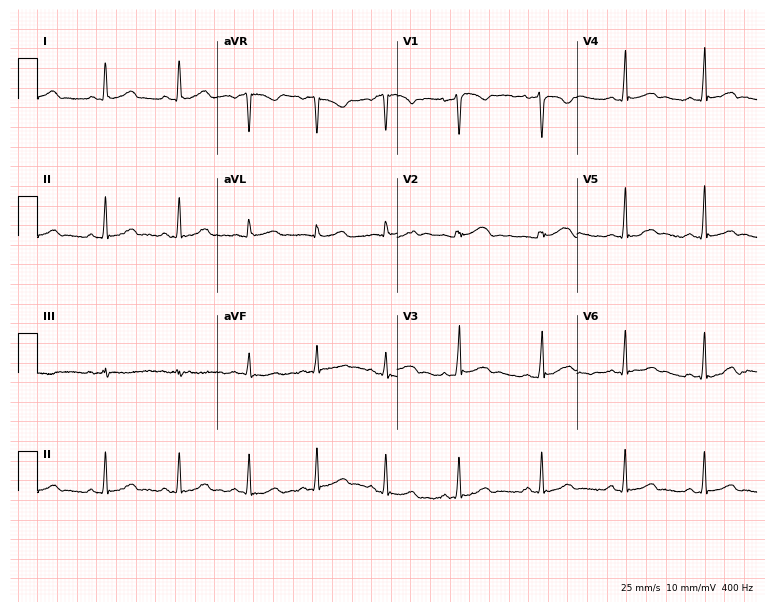
Standard 12-lead ECG recorded from a 37-year-old female (7.3-second recording at 400 Hz). Read as a normal ECG.